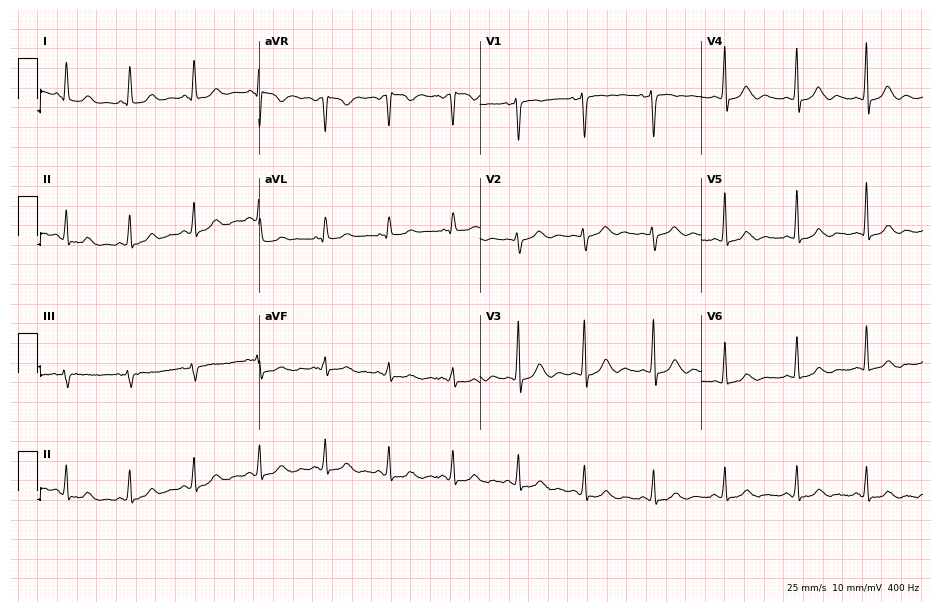
Electrocardiogram (9-second recording at 400 Hz), a 43-year-old male patient. Of the six screened findings (first-degree AV block, right bundle branch block (RBBB), left bundle branch block (LBBB), sinus bradycardia, atrial fibrillation (AF), sinus tachycardia), none is recorded.